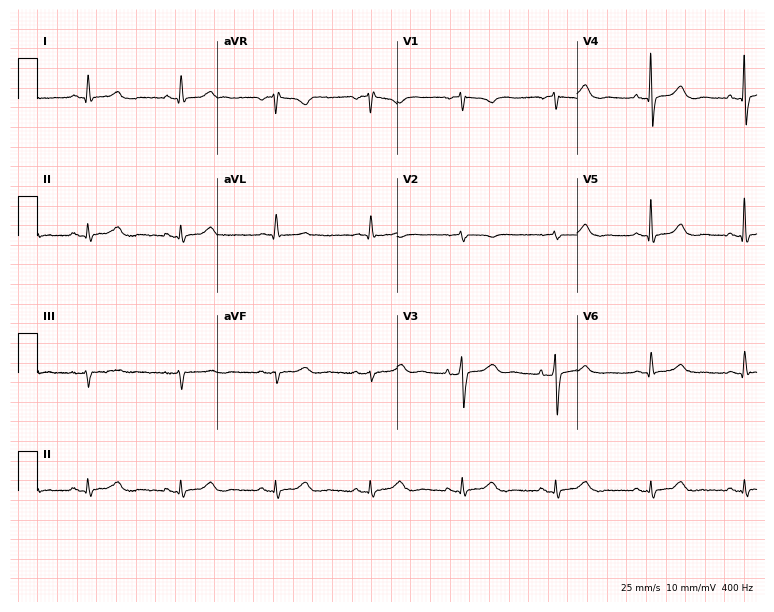
ECG — a woman, 79 years old. Labelled as a normal ECG.